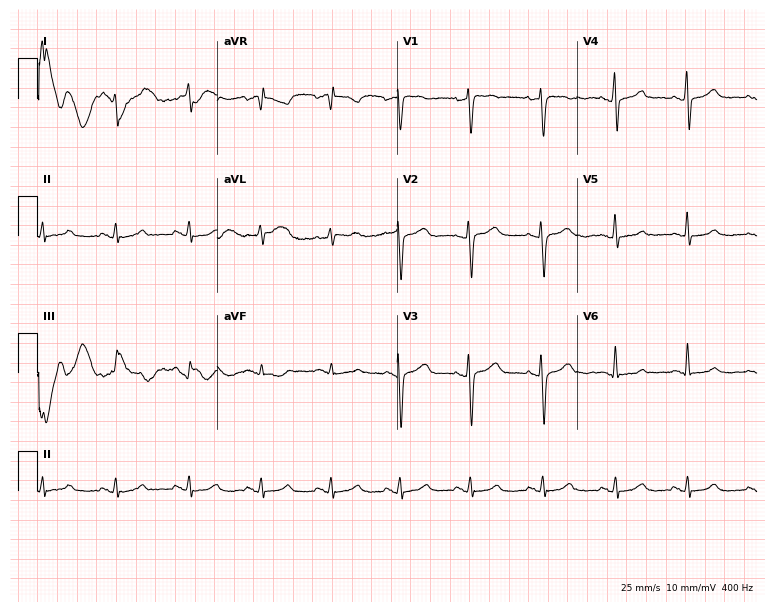
Resting 12-lead electrocardiogram (7.3-second recording at 400 Hz). Patient: a female, 60 years old. None of these six findings is recorded: first-degree AV block, right bundle branch block (RBBB), left bundle branch block (LBBB), sinus bradycardia, atrial fibrillation (AF), sinus tachycardia. Only these six findings were labelled.